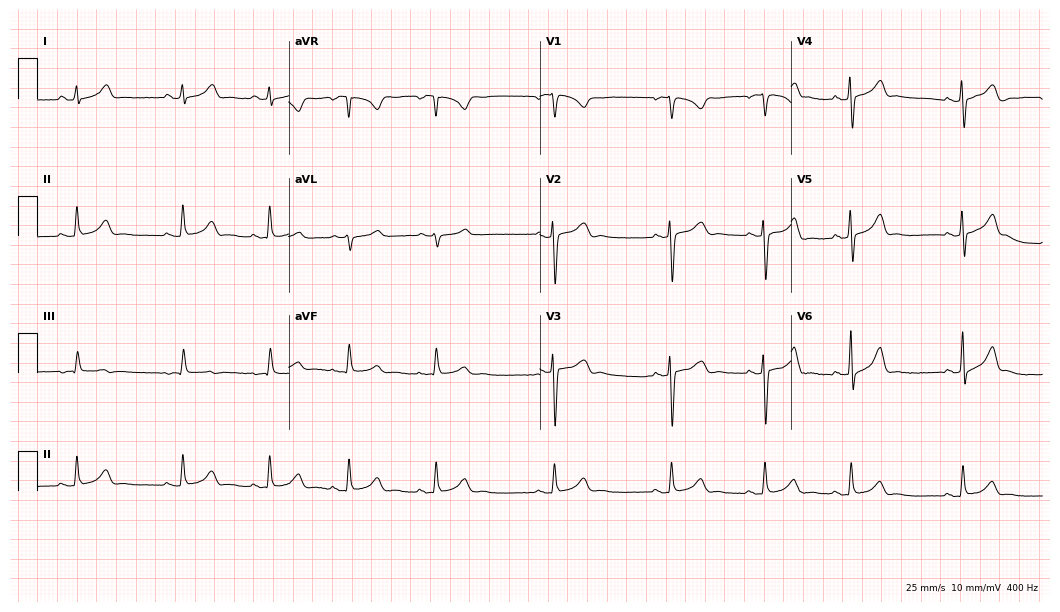
12-lead ECG from a female, 19 years old. Recorded interpretation: within normal limits.